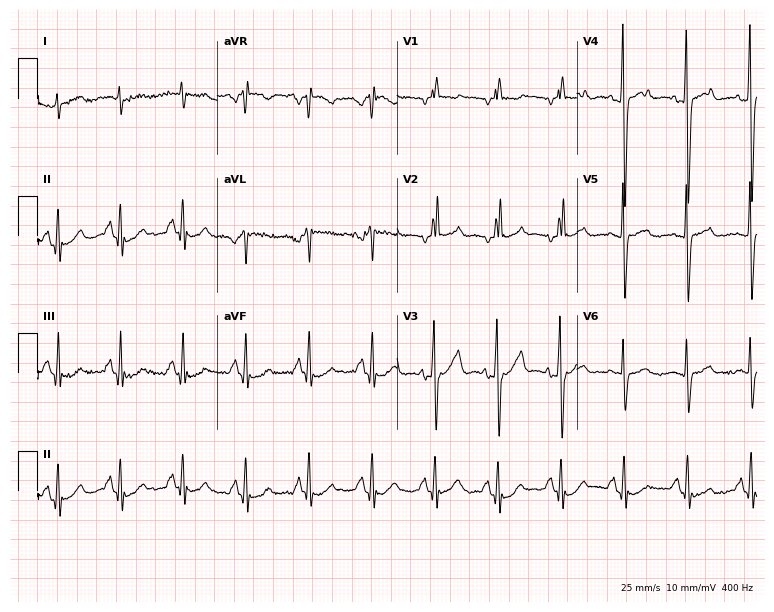
12-lead ECG from a 74-year-old male patient. No first-degree AV block, right bundle branch block (RBBB), left bundle branch block (LBBB), sinus bradycardia, atrial fibrillation (AF) or sinus tachycardia recorded for this tracing. Only these six findings were labelled.